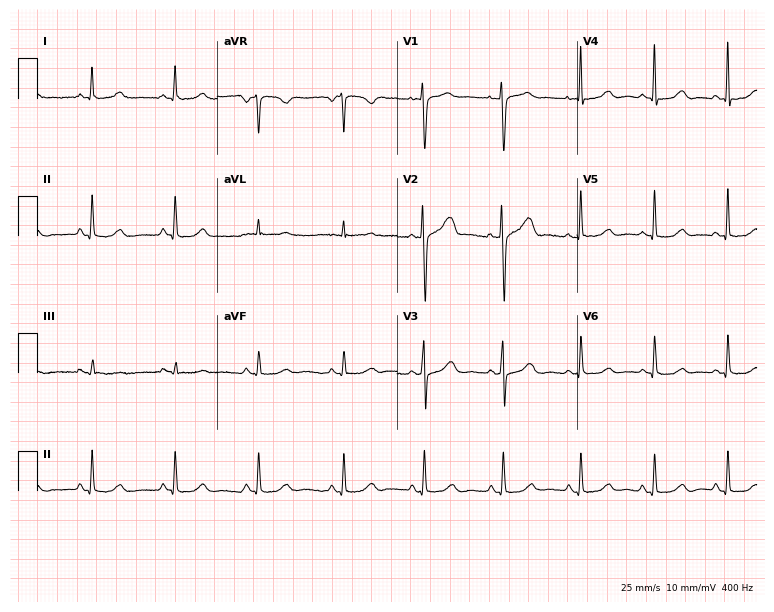
Electrocardiogram (7.3-second recording at 400 Hz), a man, 41 years old. Of the six screened findings (first-degree AV block, right bundle branch block (RBBB), left bundle branch block (LBBB), sinus bradycardia, atrial fibrillation (AF), sinus tachycardia), none is recorded. Other findings, if any, are not listed.